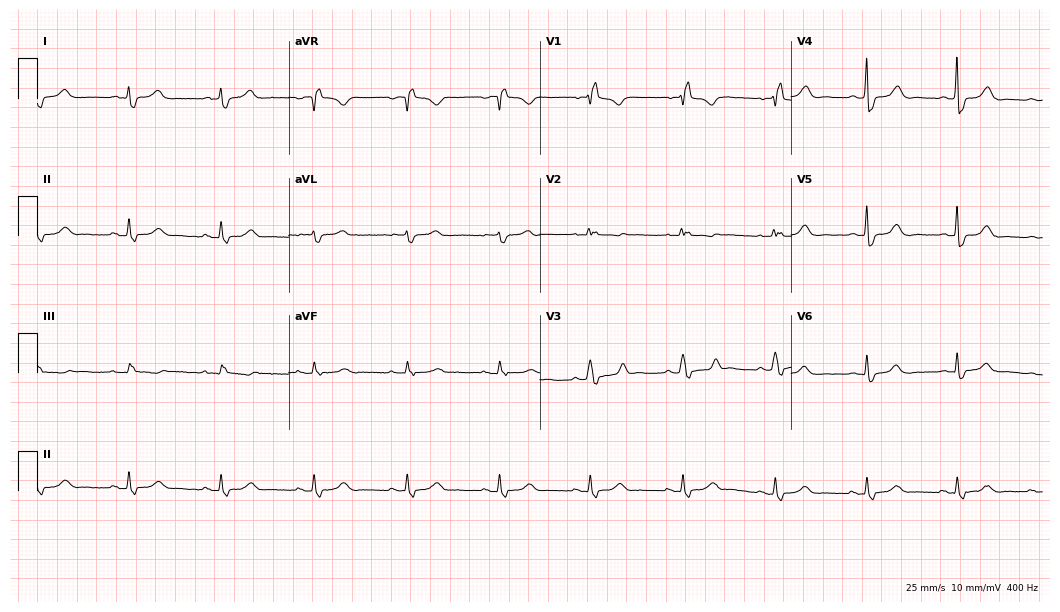
12-lead ECG (10.2-second recording at 400 Hz) from a 51-year-old female patient. Findings include right bundle branch block (RBBB).